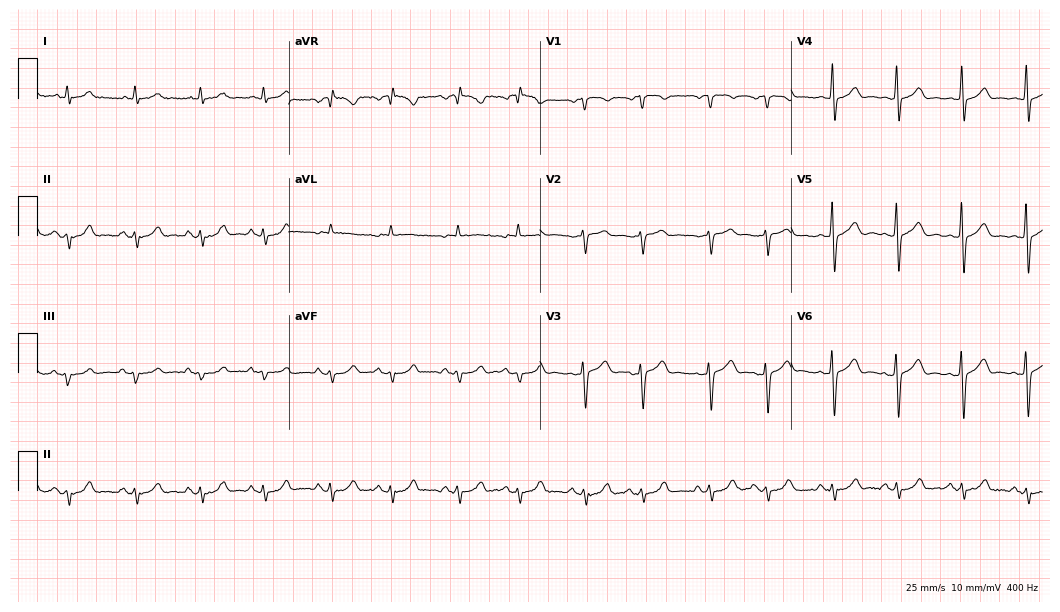
ECG — a man, 76 years old. Screened for six findings — first-degree AV block, right bundle branch block, left bundle branch block, sinus bradycardia, atrial fibrillation, sinus tachycardia — none is recorded.